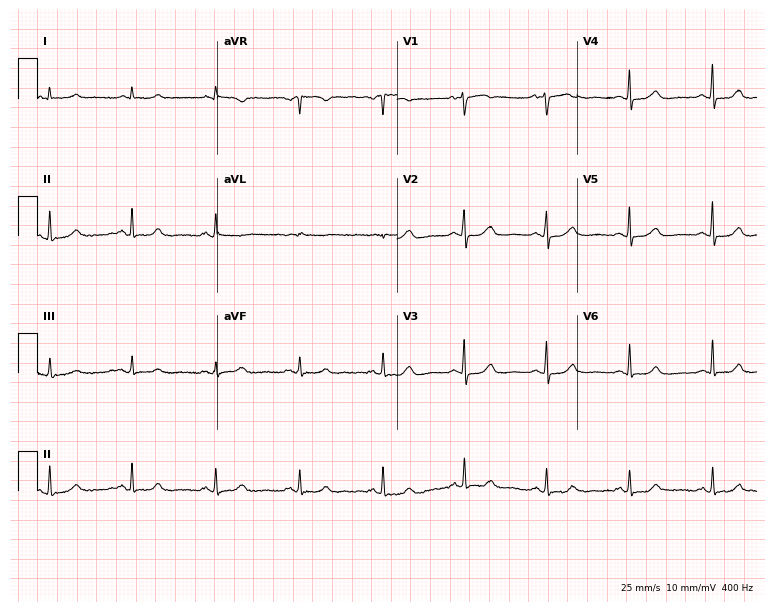
Resting 12-lead electrocardiogram (7.3-second recording at 400 Hz). Patient: a 70-year-old woman. Read as a normal ECG.